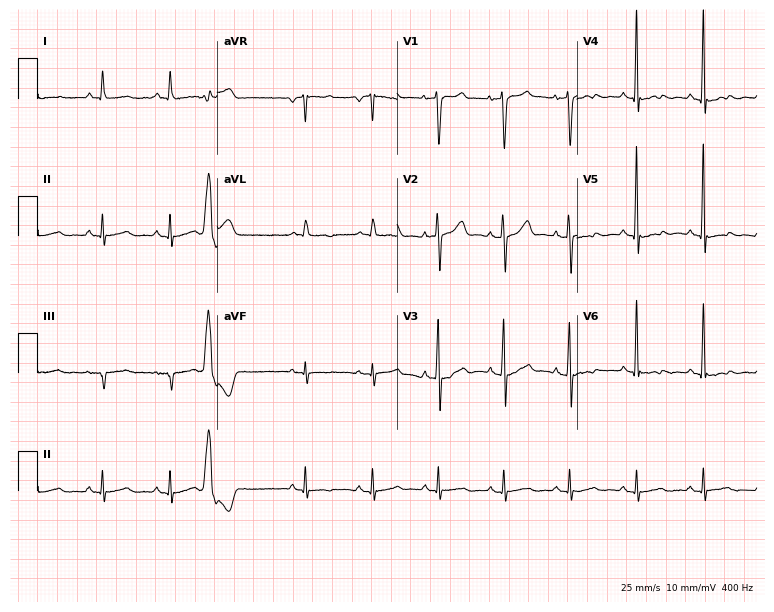
Standard 12-lead ECG recorded from a male, 64 years old. None of these six findings is recorded: first-degree AV block, right bundle branch block, left bundle branch block, sinus bradycardia, atrial fibrillation, sinus tachycardia. Findings outside these six are not listed.